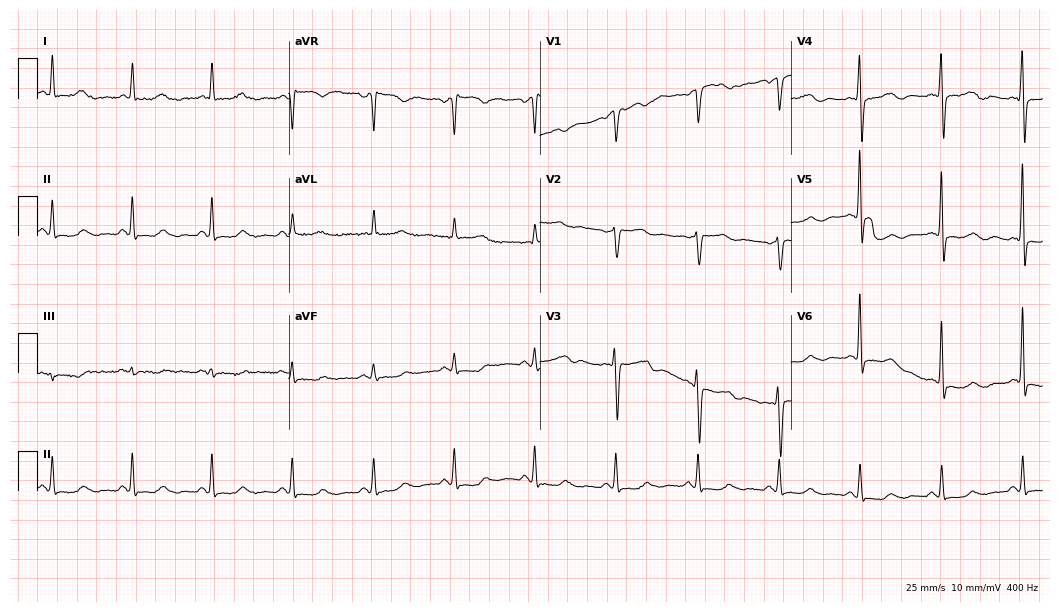
12-lead ECG from a 57-year-old female patient (10.2-second recording at 400 Hz). Recorded interpretation: within normal limits.